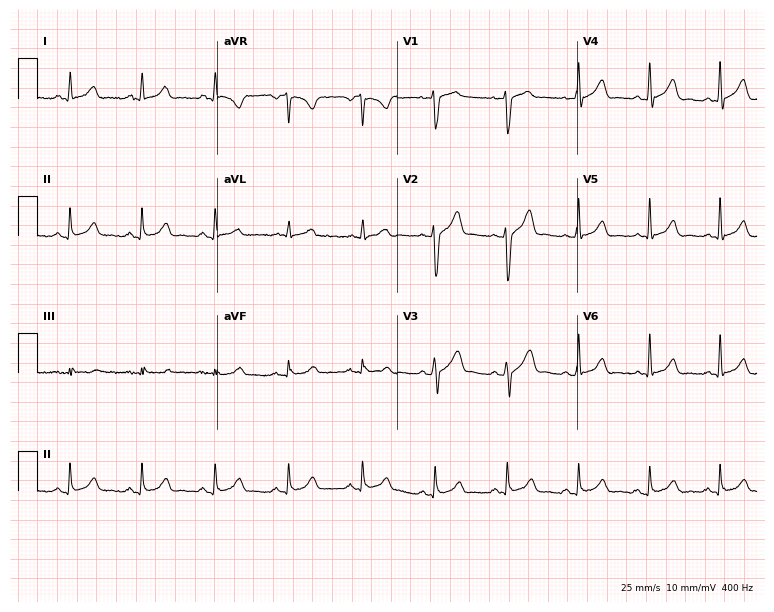
Resting 12-lead electrocardiogram (7.3-second recording at 400 Hz). Patient: a male, 34 years old. Read as a normal ECG.